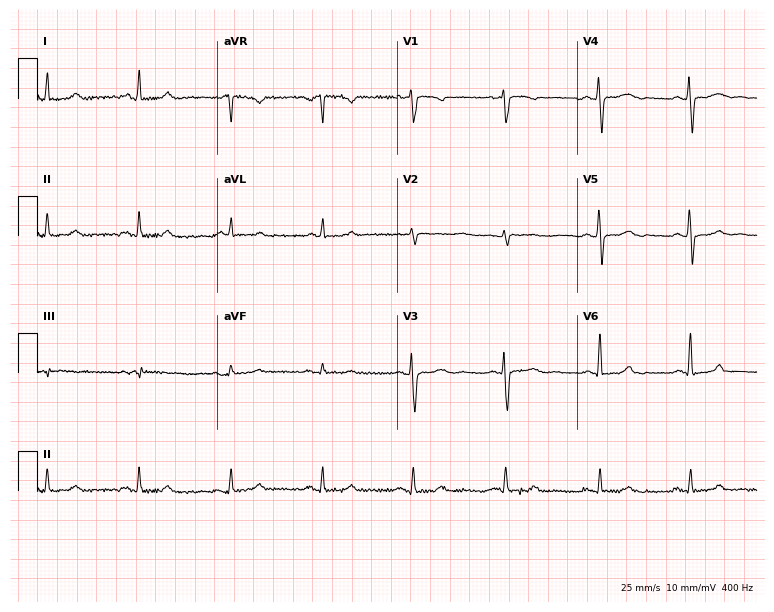
12-lead ECG from a female patient, 62 years old. Recorded interpretation: within normal limits.